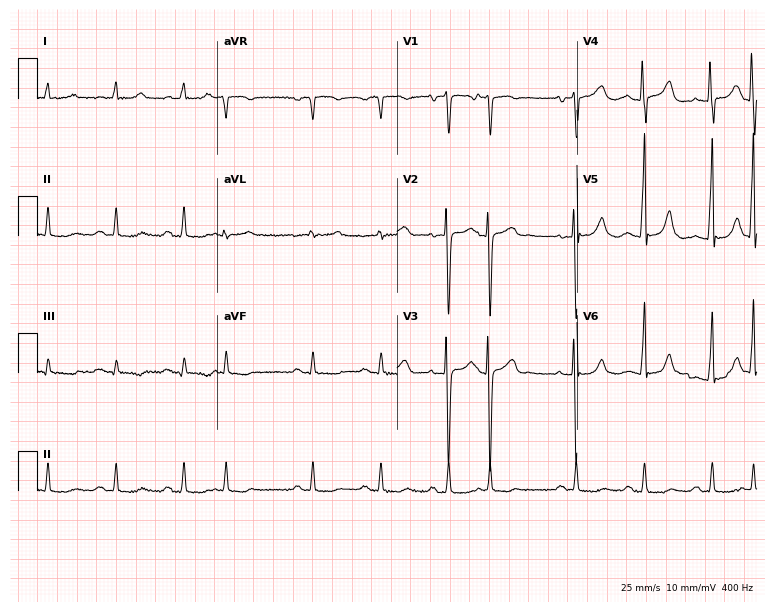
Resting 12-lead electrocardiogram (7.3-second recording at 400 Hz). Patient: an 84-year-old man. None of these six findings is recorded: first-degree AV block, right bundle branch block (RBBB), left bundle branch block (LBBB), sinus bradycardia, atrial fibrillation (AF), sinus tachycardia.